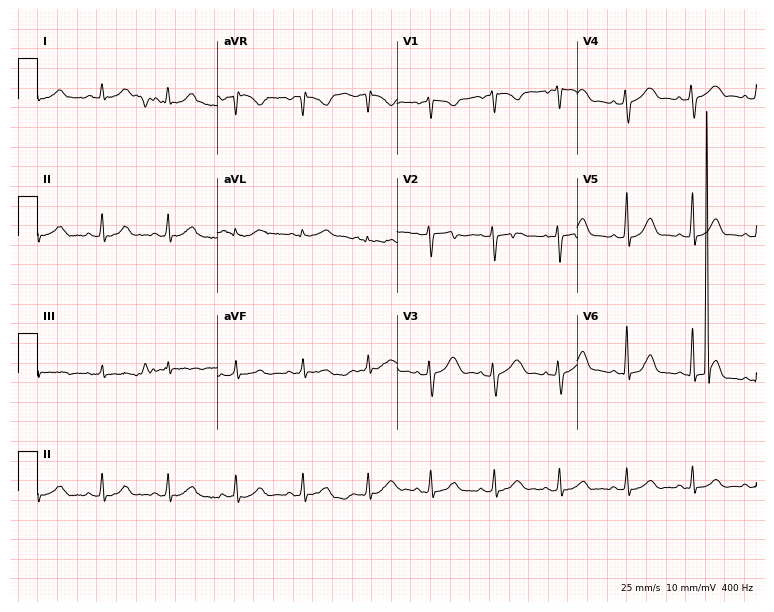
12-lead ECG from a 38-year-old woman. Screened for six findings — first-degree AV block, right bundle branch block, left bundle branch block, sinus bradycardia, atrial fibrillation, sinus tachycardia — none is recorded. Findings outside these six are not listed.